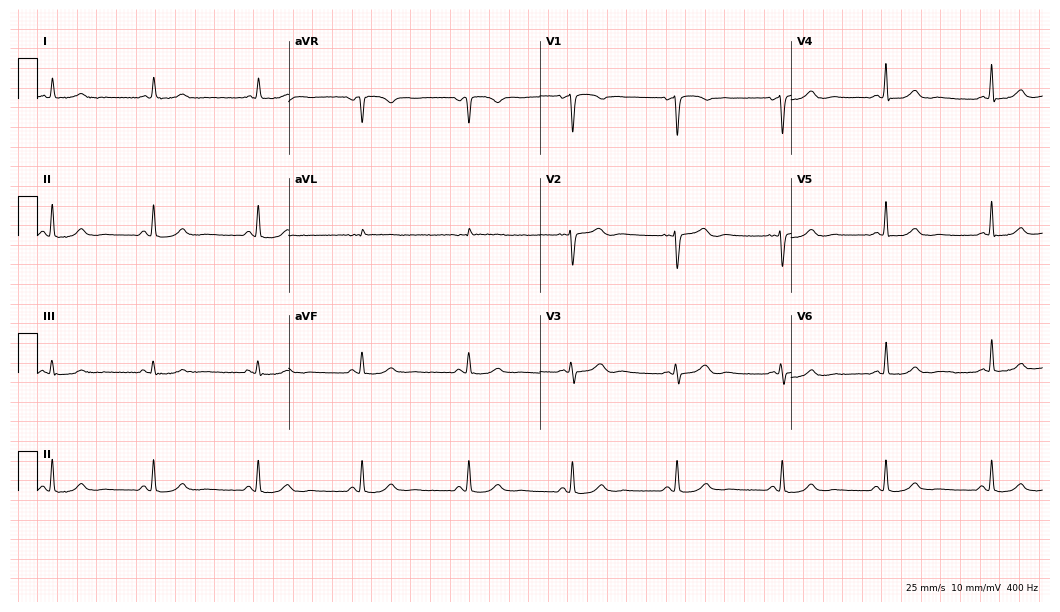
12-lead ECG from a 48-year-old female (10.2-second recording at 400 Hz). Recorded interpretation: within normal limits.